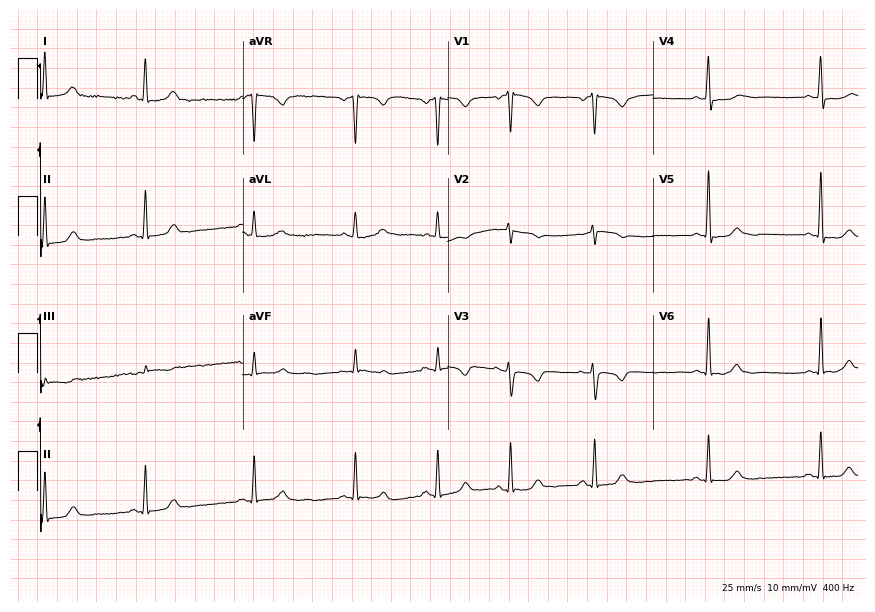
12-lead ECG (8.4-second recording at 400 Hz) from a 60-year-old female. Screened for six findings — first-degree AV block, right bundle branch block, left bundle branch block, sinus bradycardia, atrial fibrillation, sinus tachycardia — none is recorded. Only these six findings were labelled.